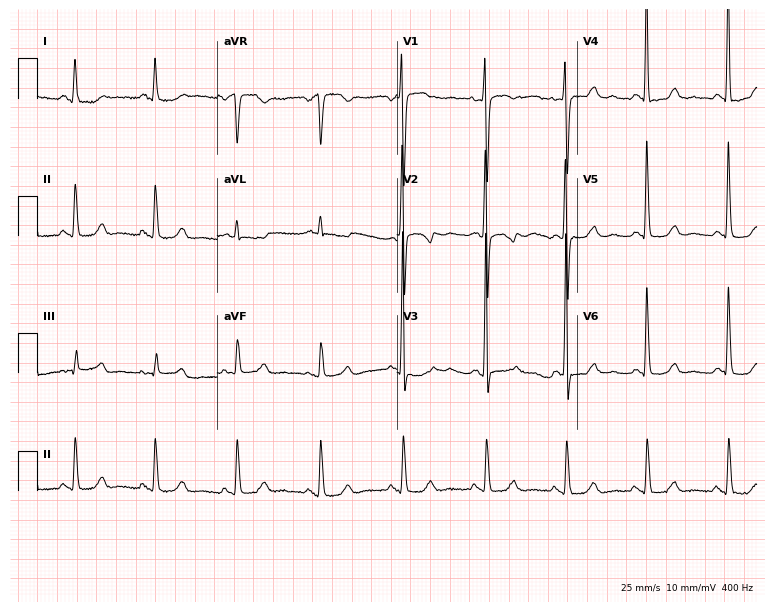
Resting 12-lead electrocardiogram. Patient: a 49-year-old female. None of these six findings is recorded: first-degree AV block, right bundle branch block, left bundle branch block, sinus bradycardia, atrial fibrillation, sinus tachycardia. Findings outside these six are not listed.